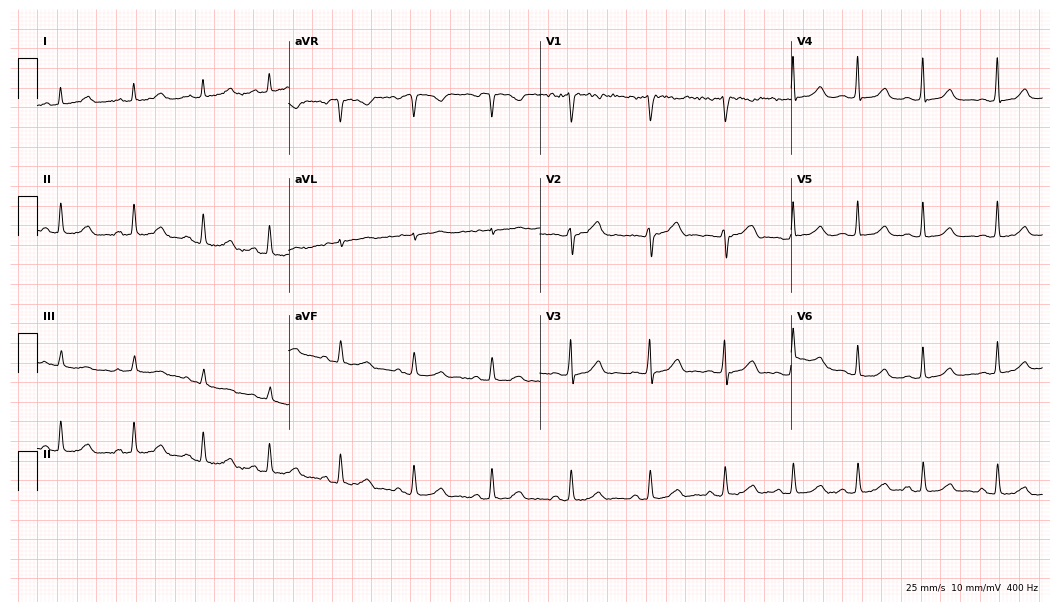
Resting 12-lead electrocardiogram (10.2-second recording at 400 Hz). Patient: a female, 33 years old. Read as a normal ECG.